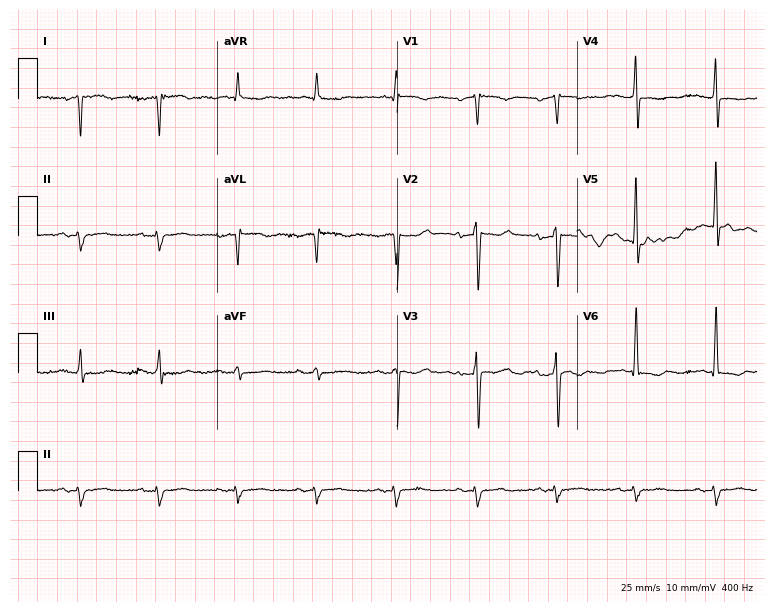
12-lead ECG from a female, 81 years old (7.3-second recording at 400 Hz). No first-degree AV block, right bundle branch block (RBBB), left bundle branch block (LBBB), sinus bradycardia, atrial fibrillation (AF) or sinus tachycardia recorded for this tracing. Findings outside these six are not listed.